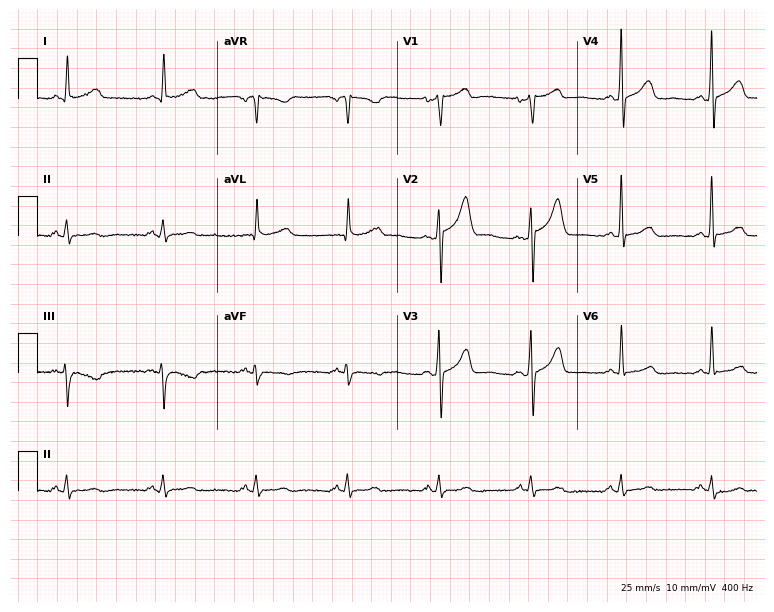
Standard 12-lead ECG recorded from a man, 57 years old. None of these six findings is recorded: first-degree AV block, right bundle branch block (RBBB), left bundle branch block (LBBB), sinus bradycardia, atrial fibrillation (AF), sinus tachycardia.